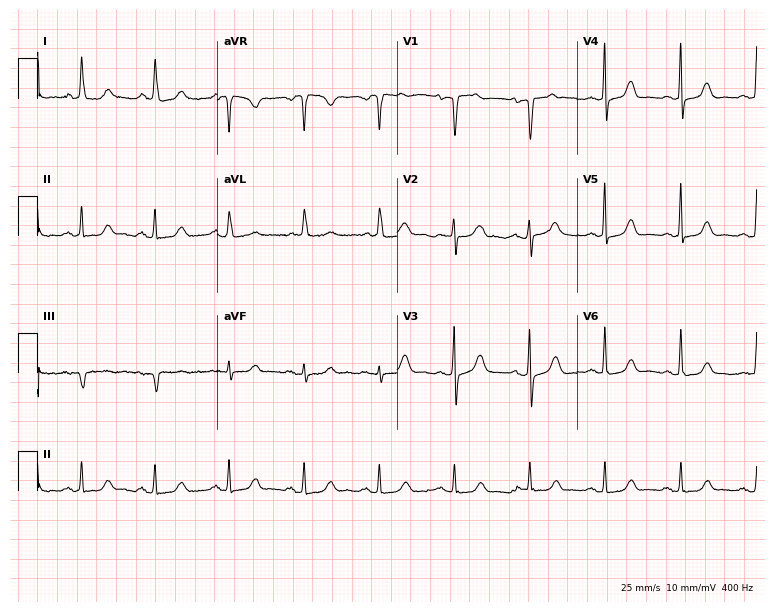
12-lead ECG from a 65-year-old woman. Labelled as a normal ECG.